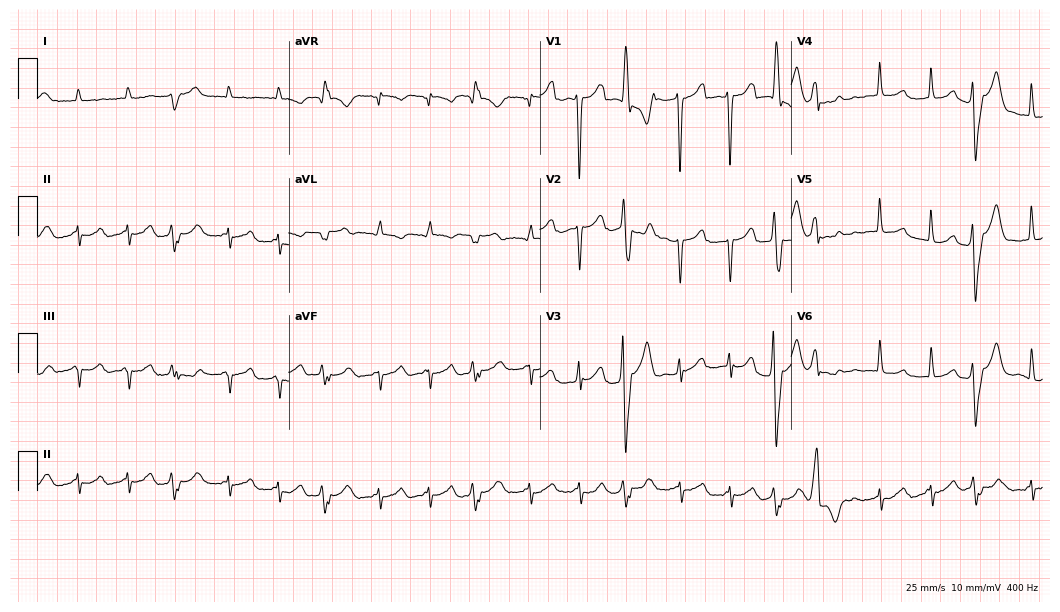
Resting 12-lead electrocardiogram. Patient: a male, 78 years old. The tracing shows sinus tachycardia (a sinus rate of 100 beats per minute or more).